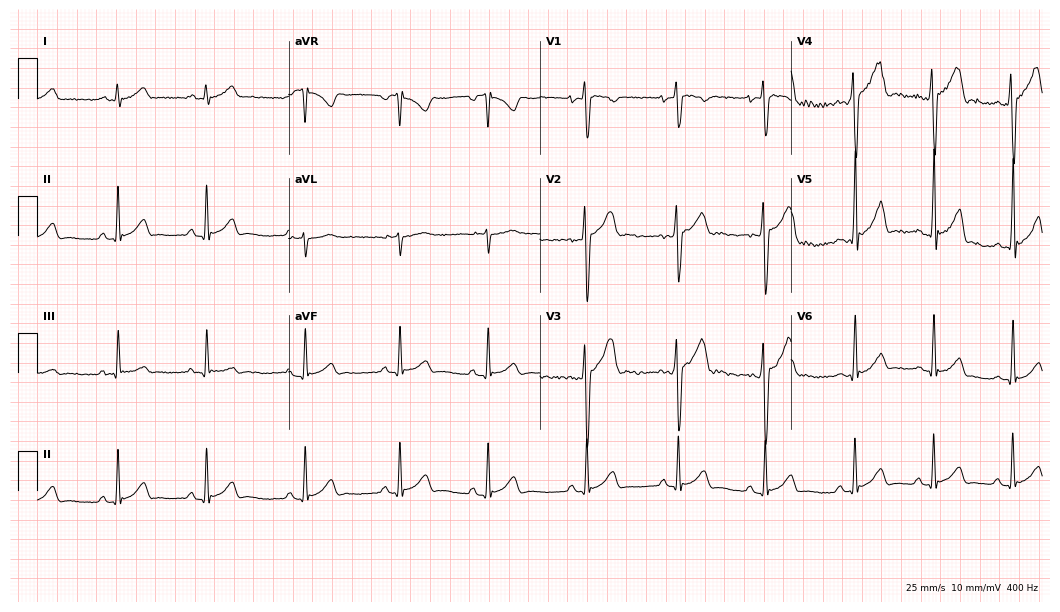
Electrocardiogram, a 17-year-old man. Overall reading on record: normal ECG.